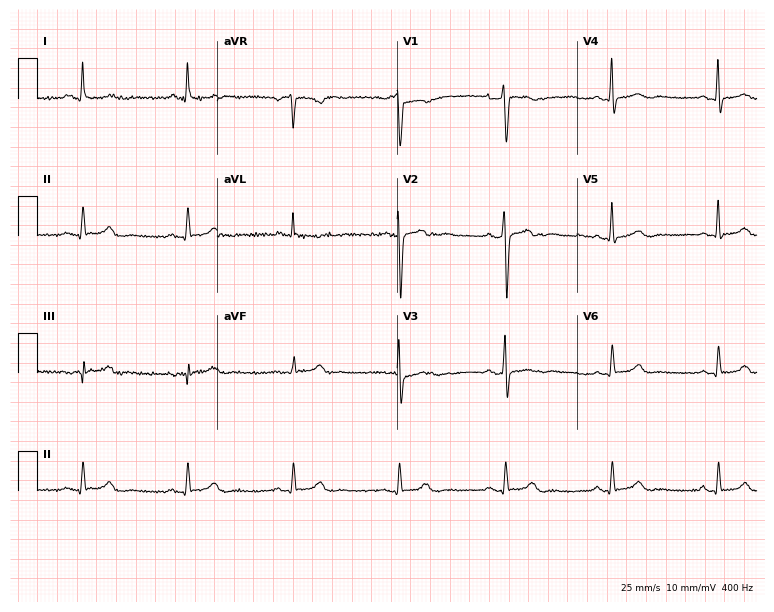
Standard 12-lead ECG recorded from a 37-year-old male (7.3-second recording at 400 Hz). Read as a normal ECG.